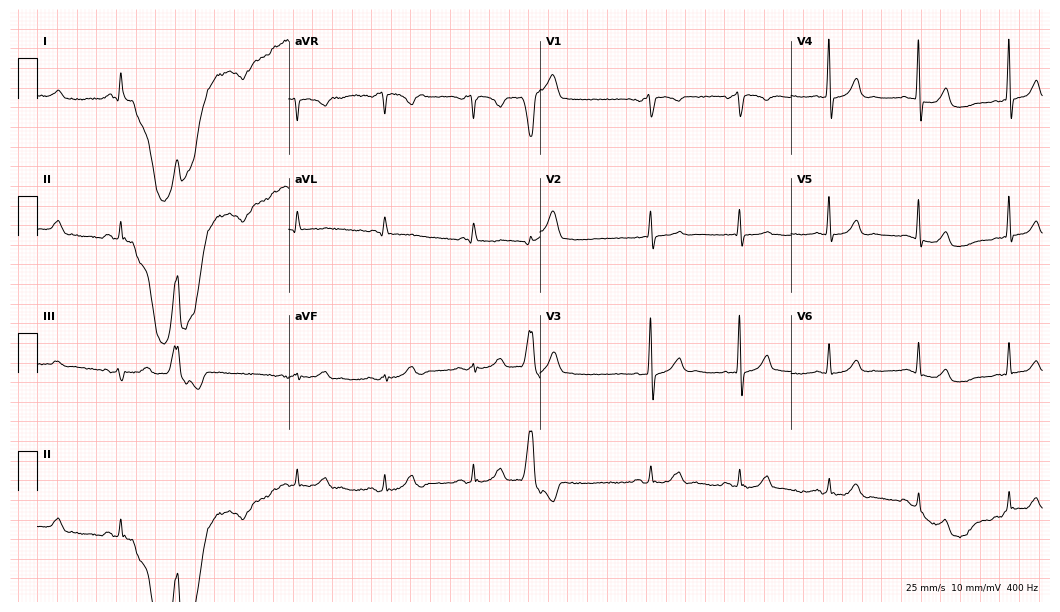
Electrocardiogram (10.2-second recording at 400 Hz), a male patient, 79 years old. Of the six screened findings (first-degree AV block, right bundle branch block, left bundle branch block, sinus bradycardia, atrial fibrillation, sinus tachycardia), none is recorded. Other findings, if any, are not listed.